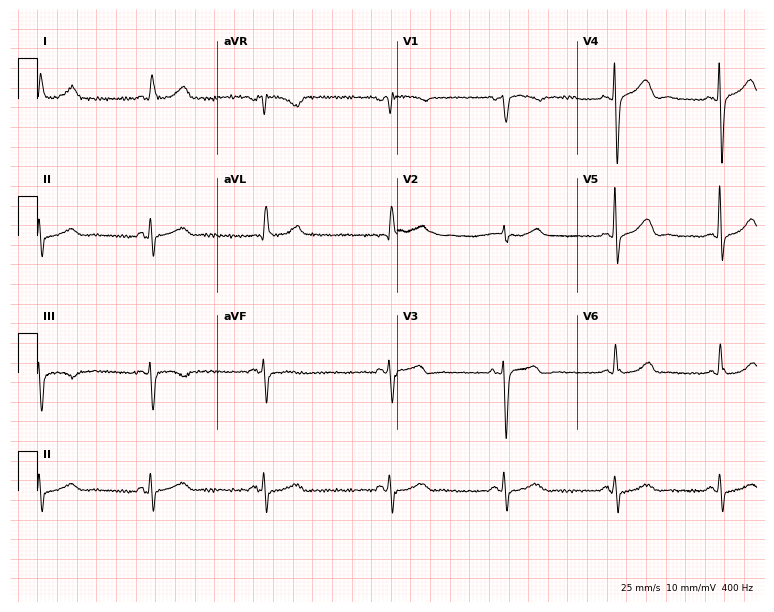
Electrocardiogram (7.3-second recording at 400 Hz), a 79-year-old woman. Of the six screened findings (first-degree AV block, right bundle branch block, left bundle branch block, sinus bradycardia, atrial fibrillation, sinus tachycardia), none is recorded. Only these six findings were labelled.